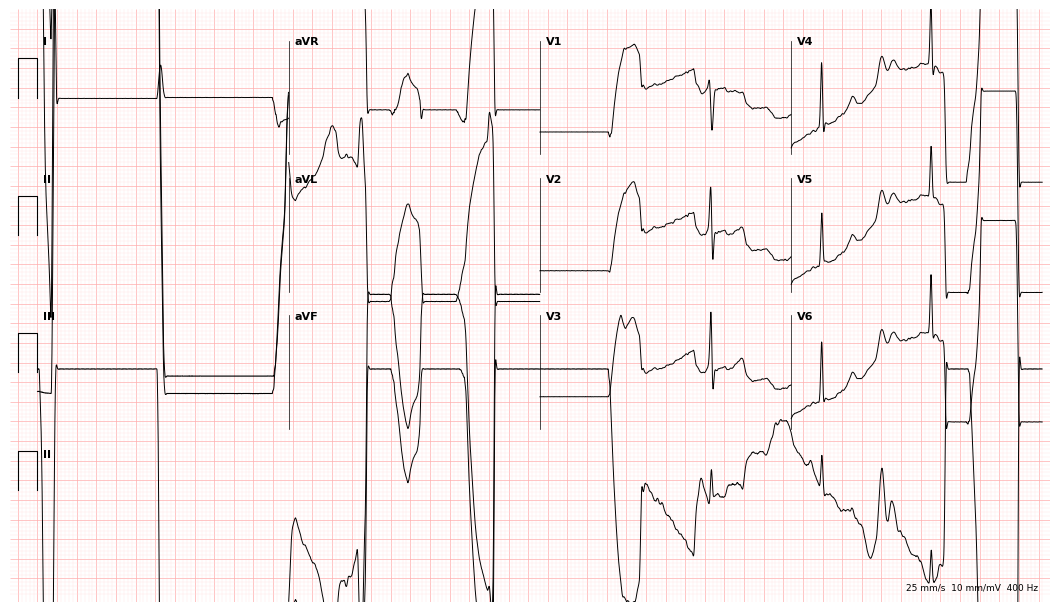
12-lead ECG from a 77-year-old female patient. Screened for six findings — first-degree AV block, right bundle branch block, left bundle branch block, sinus bradycardia, atrial fibrillation, sinus tachycardia — none is recorded.